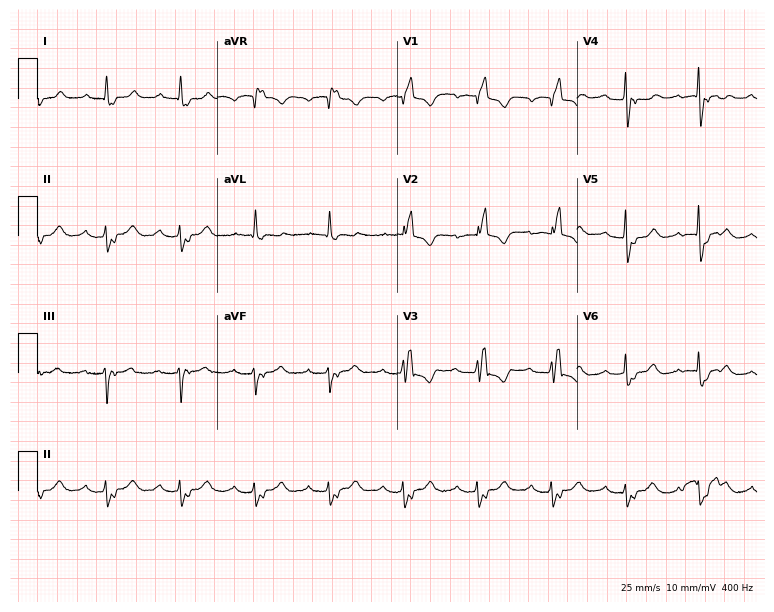
Resting 12-lead electrocardiogram. Patient: a 68-year-old male. The tracing shows first-degree AV block, right bundle branch block.